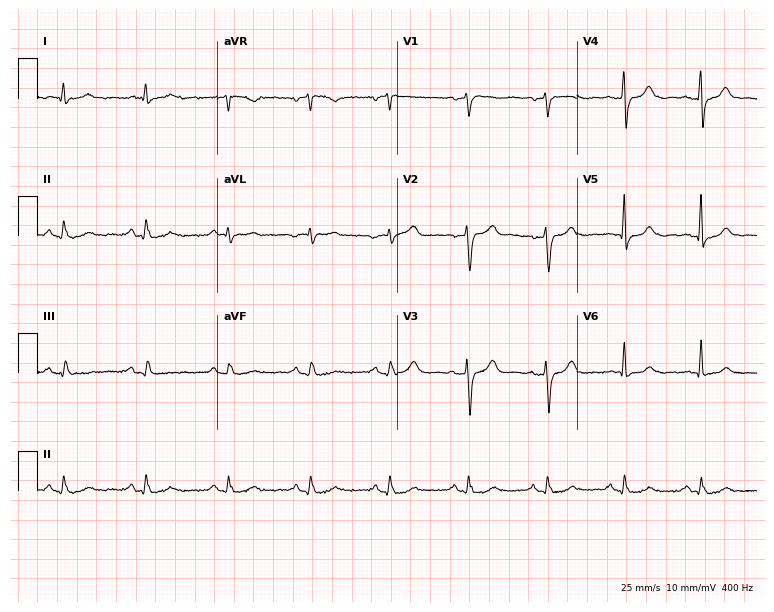
12-lead ECG from a 71-year-old male patient. Recorded interpretation: within normal limits.